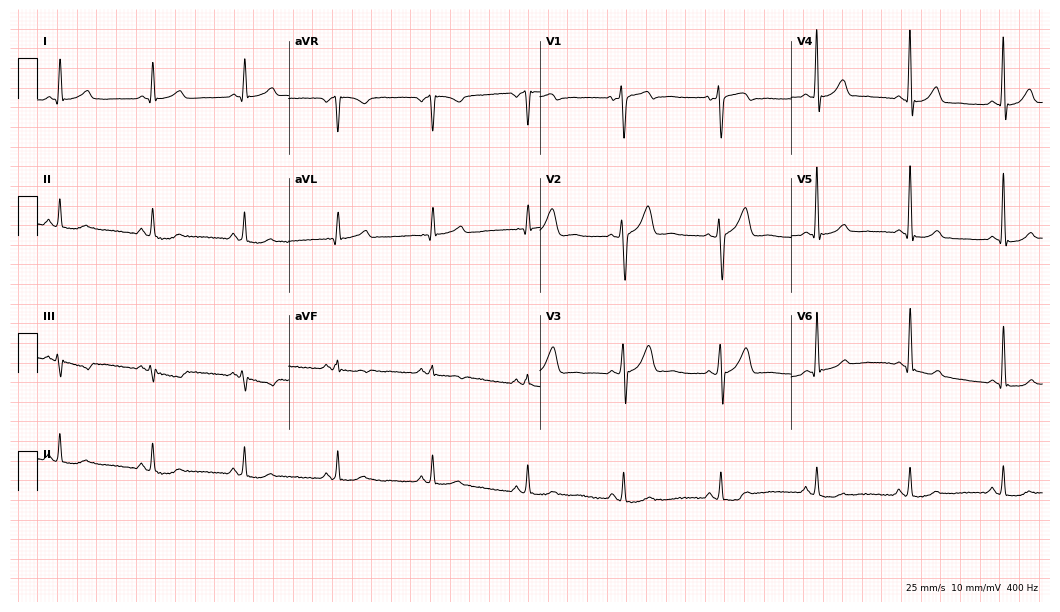
Resting 12-lead electrocardiogram. Patient: a male, 55 years old. None of these six findings is recorded: first-degree AV block, right bundle branch block, left bundle branch block, sinus bradycardia, atrial fibrillation, sinus tachycardia. Only these six findings were labelled.